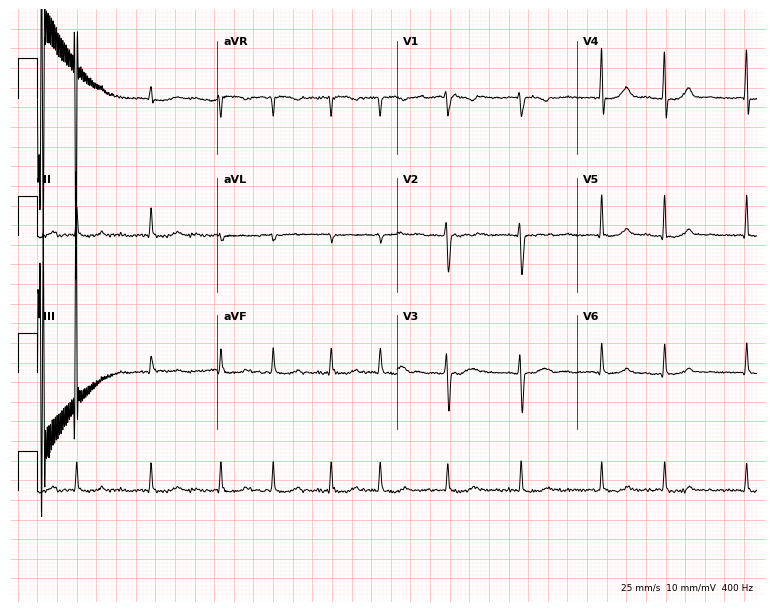
Standard 12-lead ECG recorded from a female patient, 79 years old. The tracing shows atrial fibrillation.